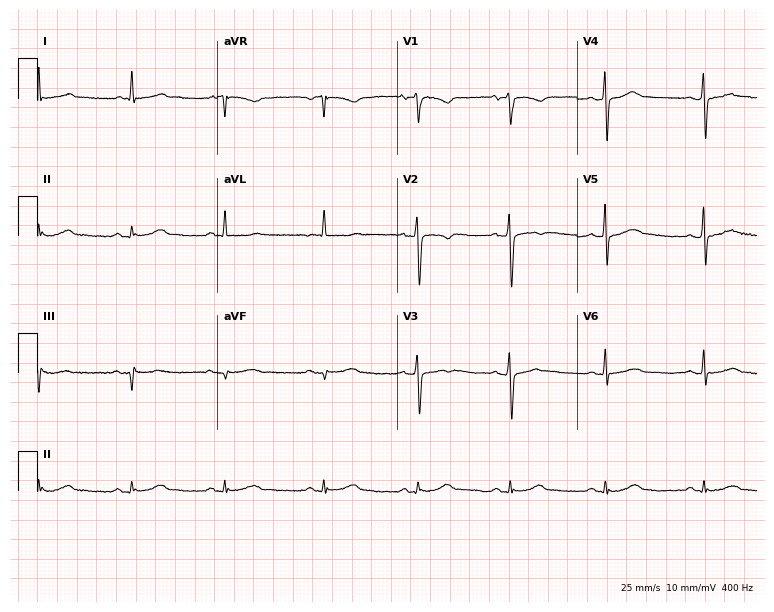
12-lead ECG from a 72-year-old man. No first-degree AV block, right bundle branch block, left bundle branch block, sinus bradycardia, atrial fibrillation or sinus tachycardia recorded for this tracing.